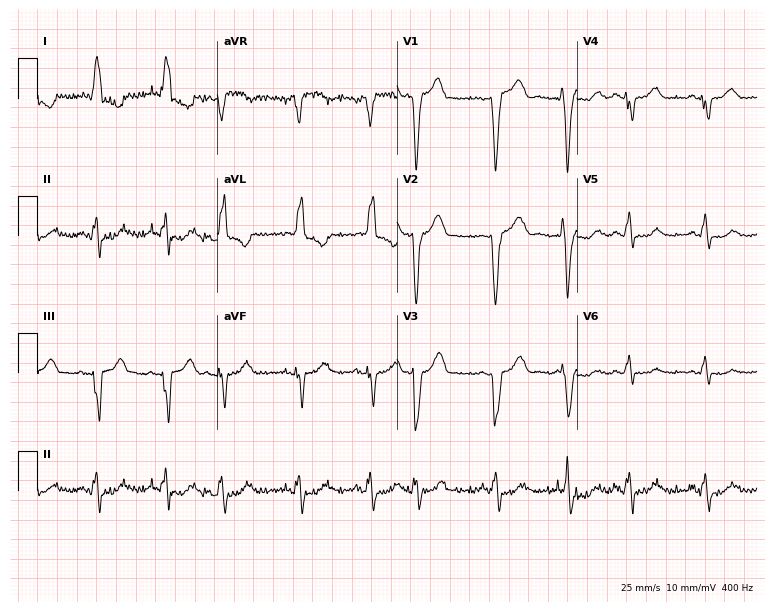
Electrocardiogram (7.3-second recording at 400 Hz), a 79-year-old female. Of the six screened findings (first-degree AV block, right bundle branch block, left bundle branch block, sinus bradycardia, atrial fibrillation, sinus tachycardia), none is recorded. Only these six findings were labelled.